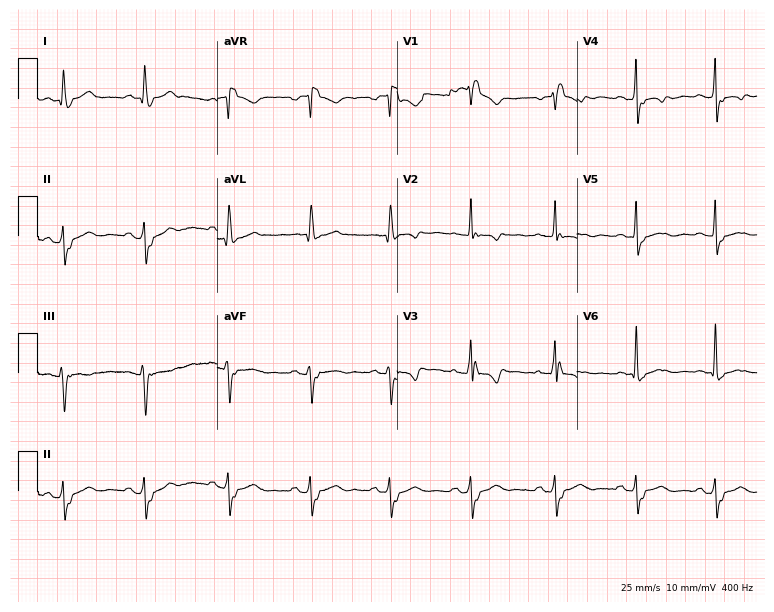
Standard 12-lead ECG recorded from a 49-year-old woman (7.3-second recording at 400 Hz). The tracing shows right bundle branch block (RBBB).